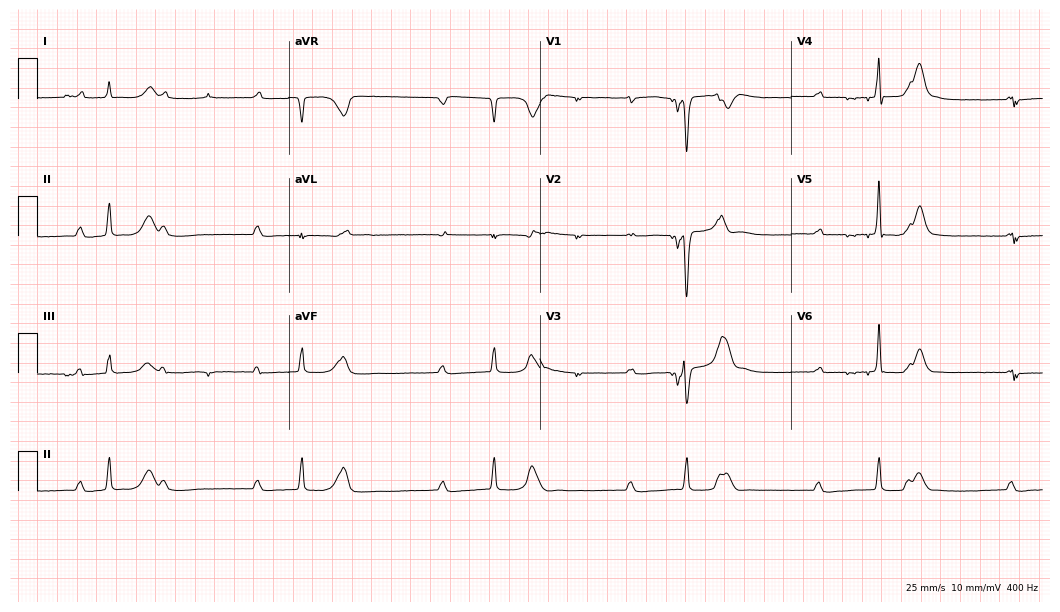
Resting 12-lead electrocardiogram (10.2-second recording at 400 Hz). Patient: a 50-year-old male. None of these six findings is recorded: first-degree AV block, right bundle branch block (RBBB), left bundle branch block (LBBB), sinus bradycardia, atrial fibrillation (AF), sinus tachycardia.